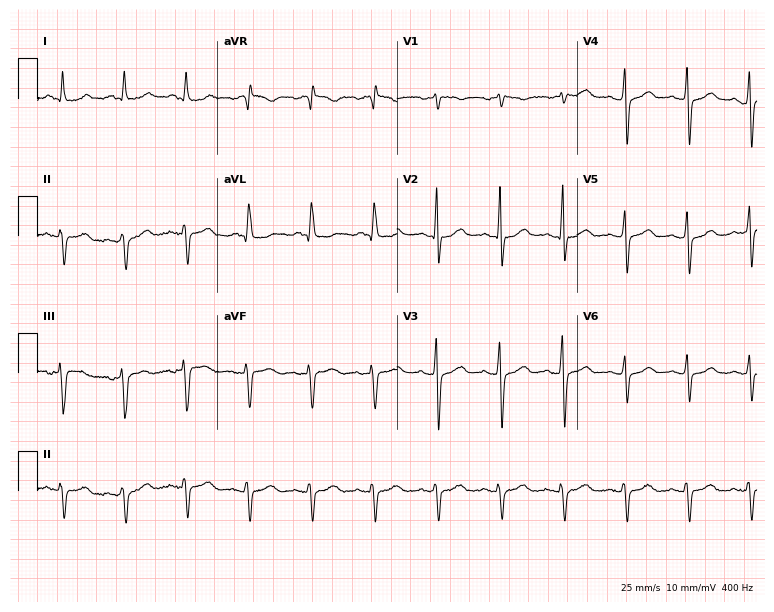
Resting 12-lead electrocardiogram (7.3-second recording at 400 Hz). Patient: a female, 64 years old. None of these six findings is recorded: first-degree AV block, right bundle branch block (RBBB), left bundle branch block (LBBB), sinus bradycardia, atrial fibrillation (AF), sinus tachycardia. Findings outside these six are not listed.